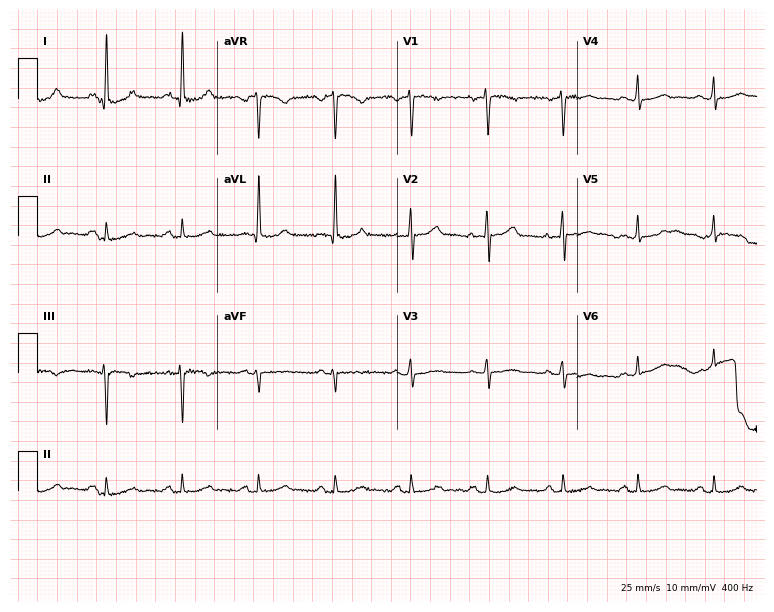
12-lead ECG from a 38-year-old female patient. No first-degree AV block, right bundle branch block, left bundle branch block, sinus bradycardia, atrial fibrillation or sinus tachycardia recorded for this tracing.